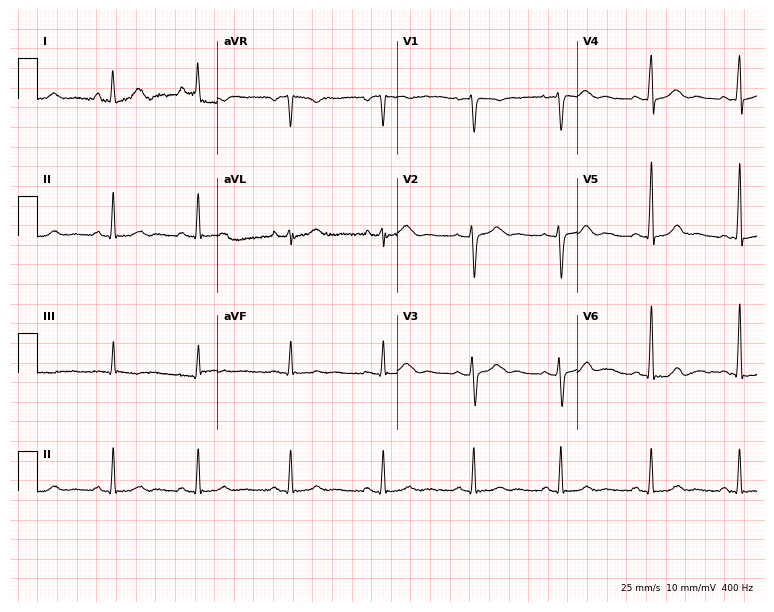
Resting 12-lead electrocardiogram. Patient: a 32-year-old woman. None of these six findings is recorded: first-degree AV block, right bundle branch block (RBBB), left bundle branch block (LBBB), sinus bradycardia, atrial fibrillation (AF), sinus tachycardia. Findings outside these six are not listed.